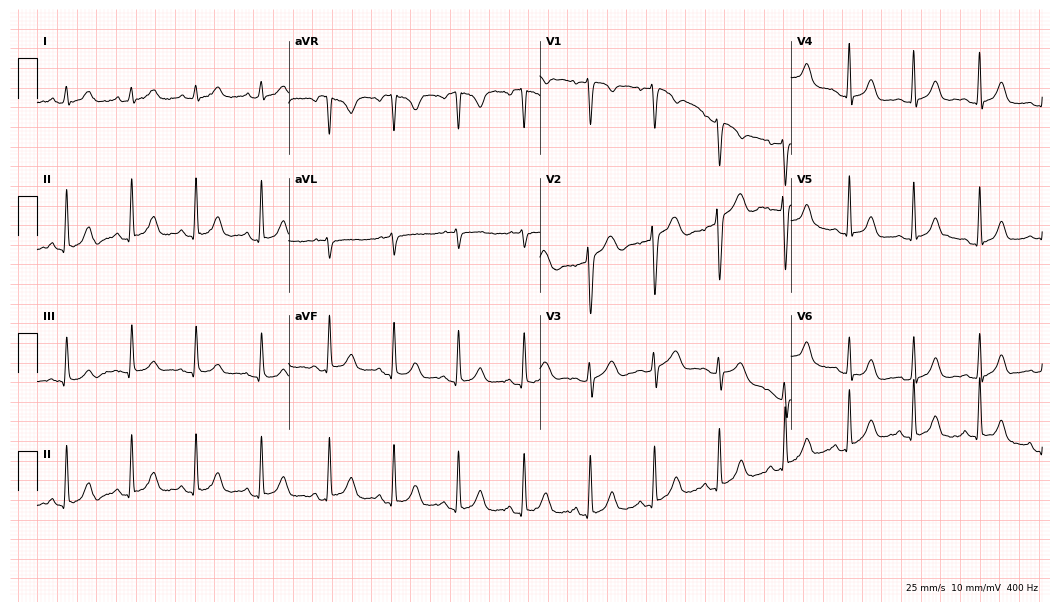
ECG (10.2-second recording at 400 Hz) — a 34-year-old female. Labelled as a normal ECG.